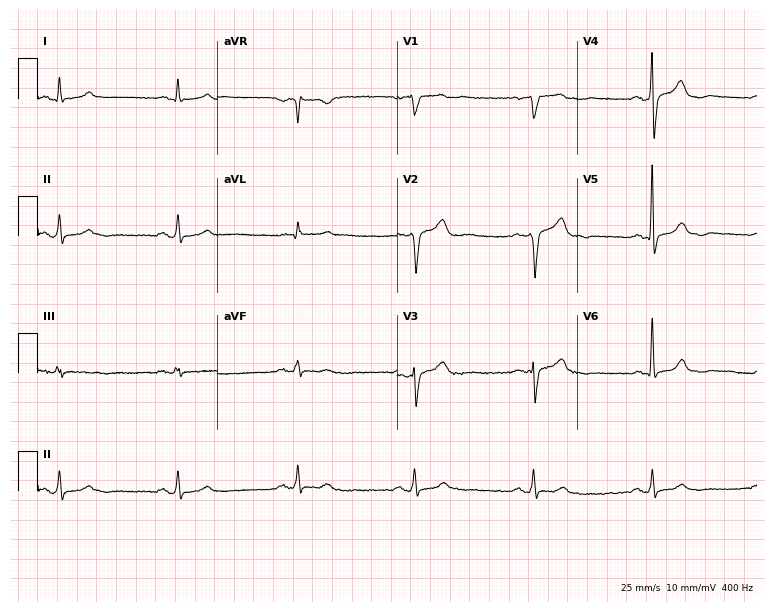
12-lead ECG (7.3-second recording at 400 Hz) from a 61-year-old male. Screened for six findings — first-degree AV block, right bundle branch block (RBBB), left bundle branch block (LBBB), sinus bradycardia, atrial fibrillation (AF), sinus tachycardia — none is recorded.